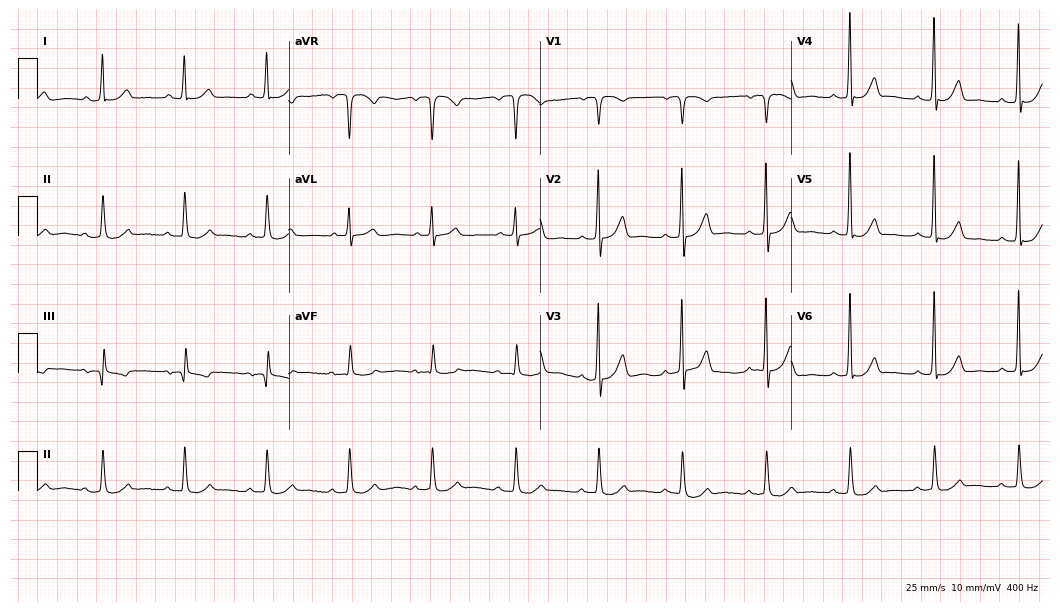
Standard 12-lead ECG recorded from a female, 80 years old (10.2-second recording at 400 Hz). Read as a normal ECG.